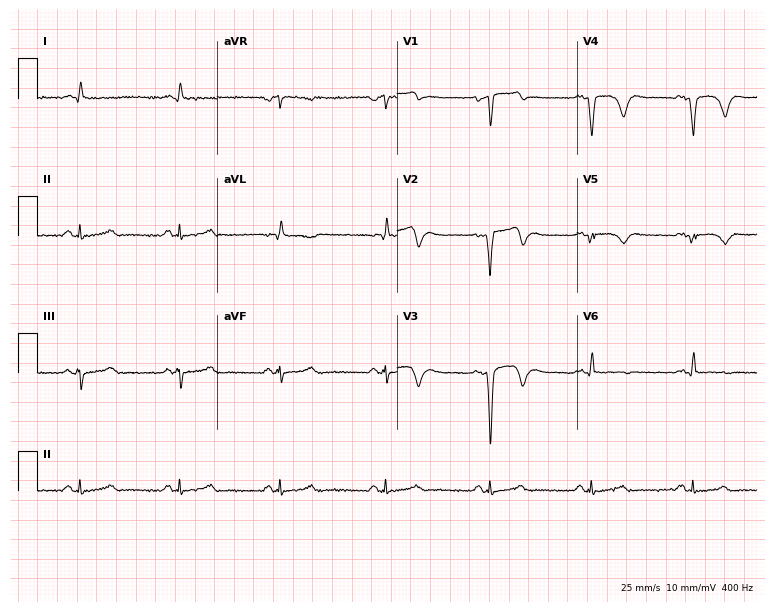
ECG (7.3-second recording at 400 Hz) — a 43-year-old male patient. Screened for six findings — first-degree AV block, right bundle branch block (RBBB), left bundle branch block (LBBB), sinus bradycardia, atrial fibrillation (AF), sinus tachycardia — none is recorded. Other findings, if any, are not listed.